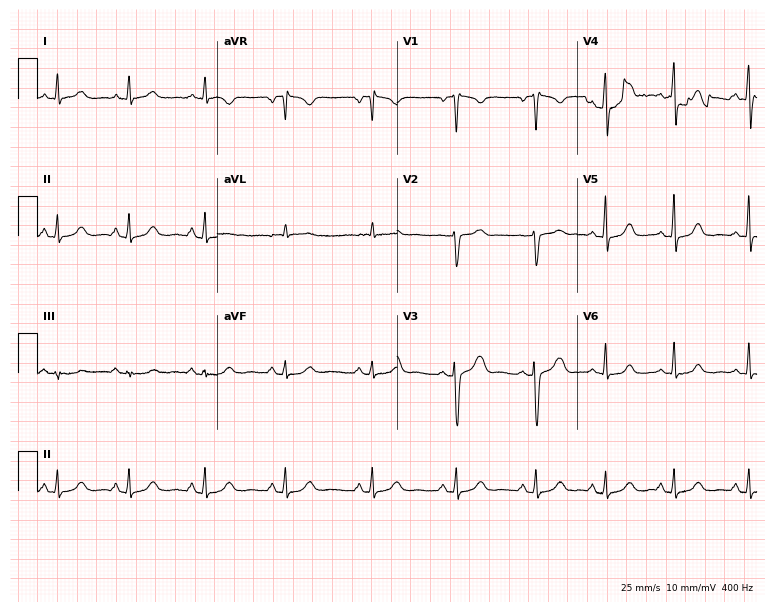
12-lead ECG from a 44-year-old female. No first-degree AV block, right bundle branch block (RBBB), left bundle branch block (LBBB), sinus bradycardia, atrial fibrillation (AF) or sinus tachycardia recorded for this tracing.